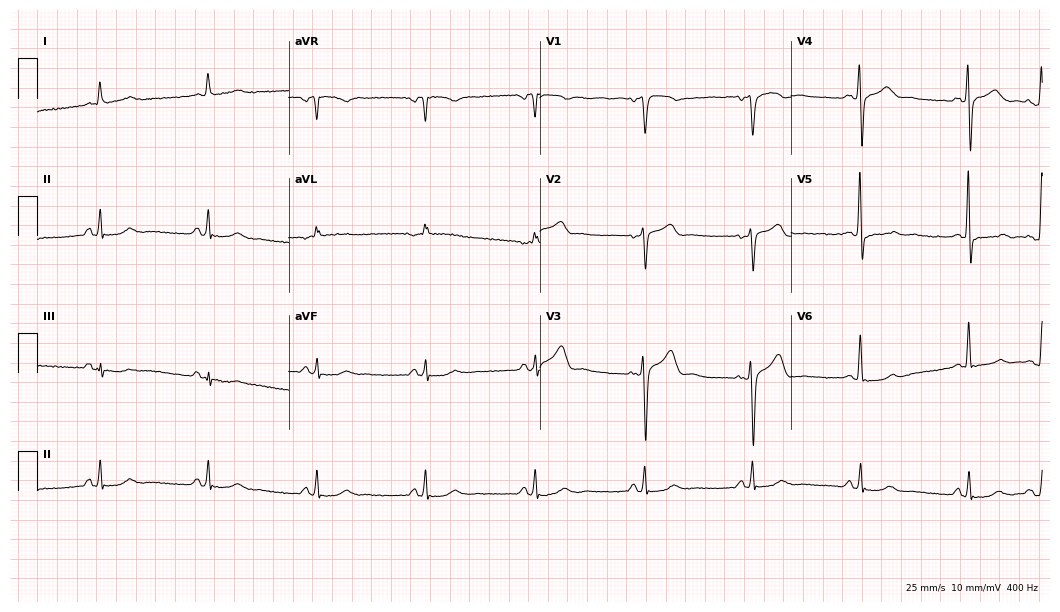
Electrocardiogram, a 58-year-old man. Of the six screened findings (first-degree AV block, right bundle branch block (RBBB), left bundle branch block (LBBB), sinus bradycardia, atrial fibrillation (AF), sinus tachycardia), none is recorded.